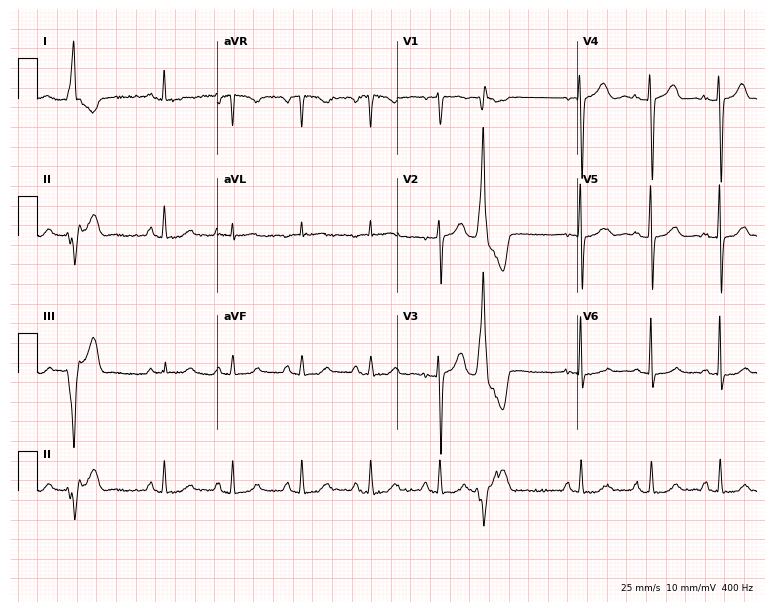
Electrocardiogram, a female patient, 72 years old. Of the six screened findings (first-degree AV block, right bundle branch block, left bundle branch block, sinus bradycardia, atrial fibrillation, sinus tachycardia), none is recorded. Findings outside these six are not listed.